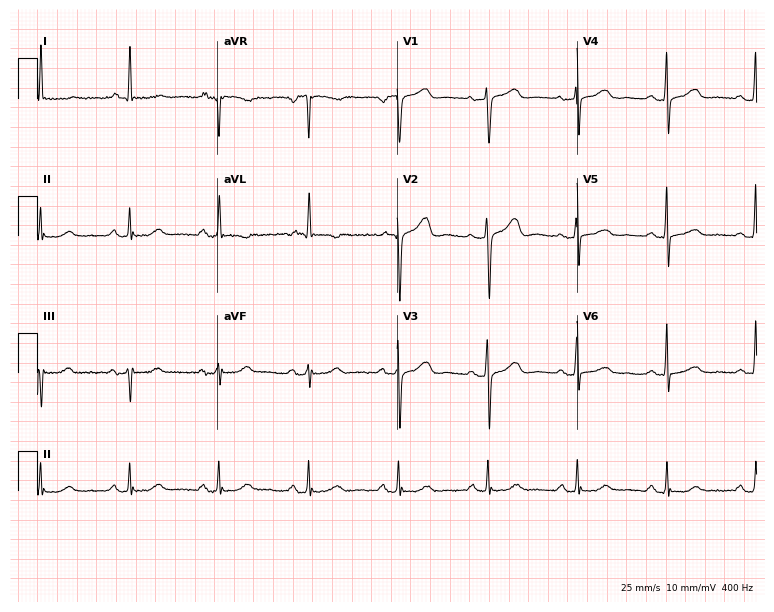
ECG (7.3-second recording at 400 Hz) — a 68-year-old woman. Screened for six findings — first-degree AV block, right bundle branch block, left bundle branch block, sinus bradycardia, atrial fibrillation, sinus tachycardia — none is recorded.